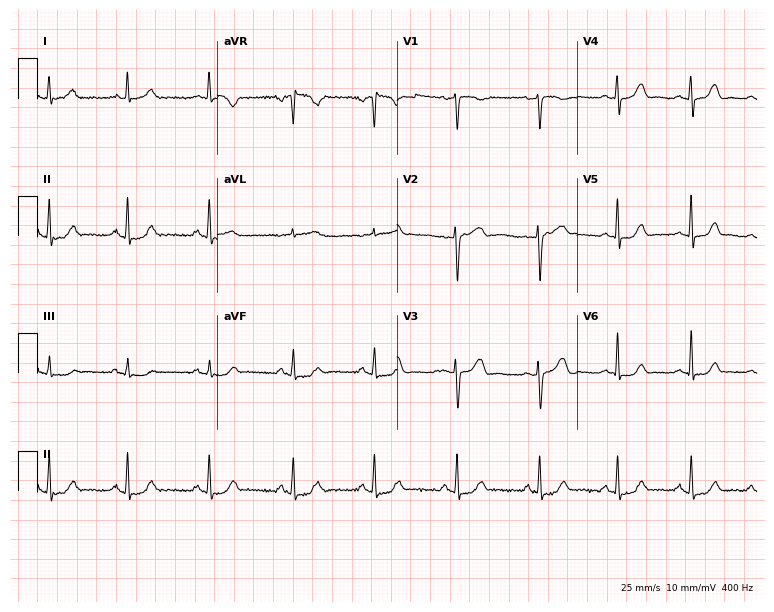
Electrocardiogram, a 44-year-old female. Overall reading on record: normal ECG.